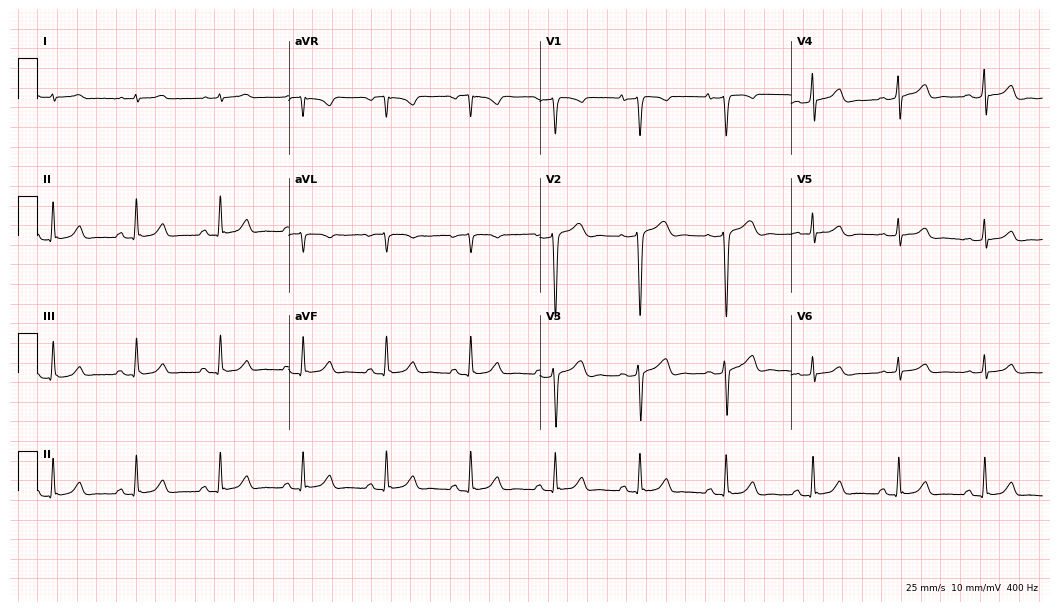
ECG — a male patient, 65 years old. Labelled as a normal ECG.